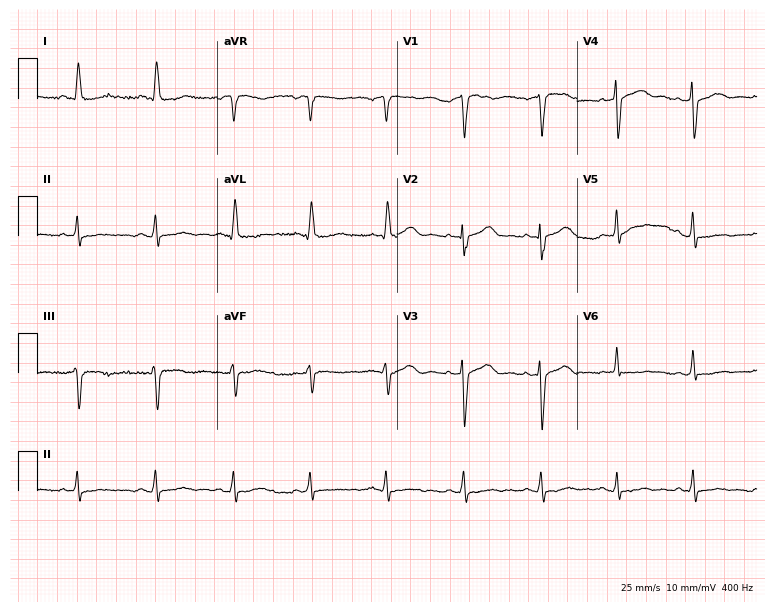
12-lead ECG (7.3-second recording at 400 Hz) from a female, 76 years old. Screened for six findings — first-degree AV block, right bundle branch block (RBBB), left bundle branch block (LBBB), sinus bradycardia, atrial fibrillation (AF), sinus tachycardia — none is recorded.